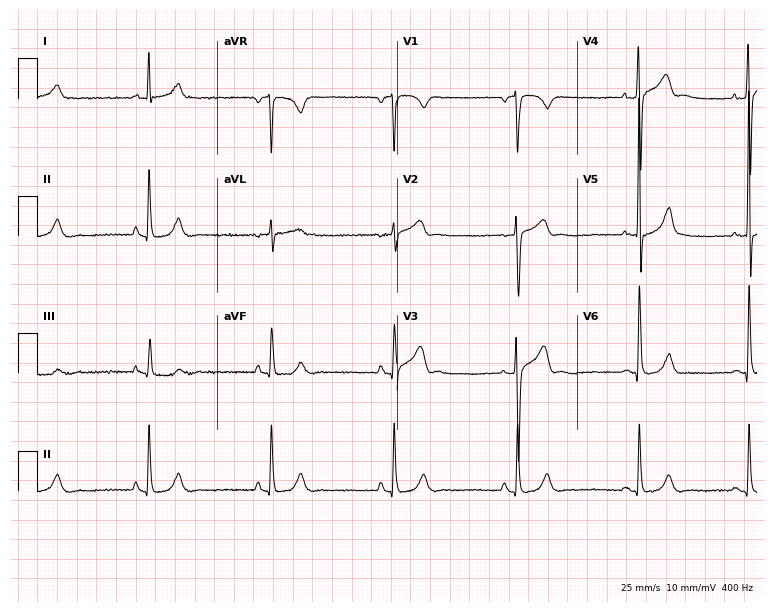
12-lead ECG from a 43-year-old male (7.3-second recording at 400 Hz). Shows sinus bradycardia (a sinus rate of 50 beats per minute or less).